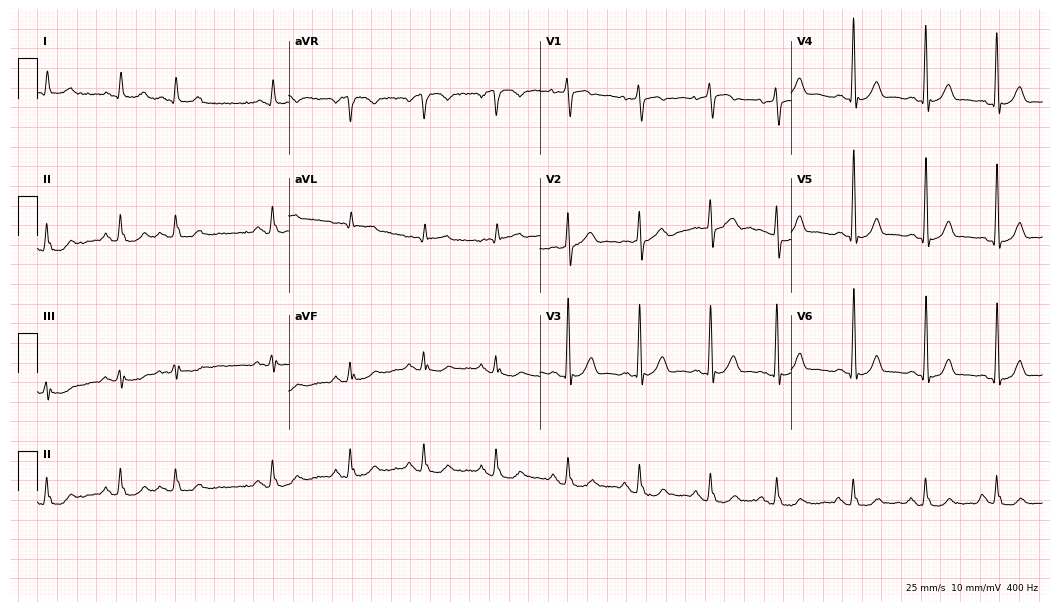
12-lead ECG from a male patient, 79 years old (10.2-second recording at 400 Hz). Recorded interpretation: within normal limits.